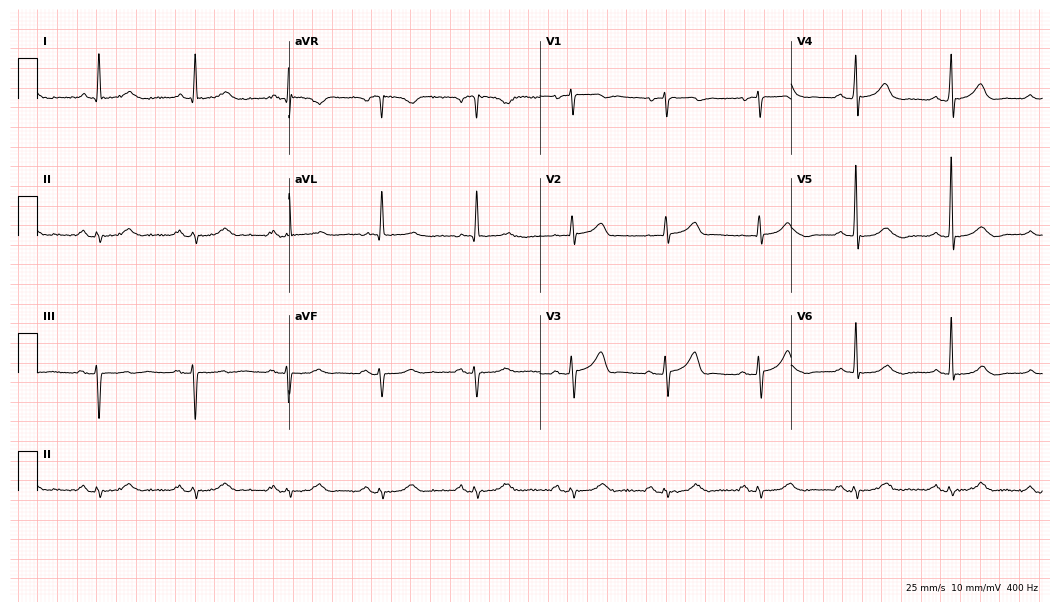
Resting 12-lead electrocardiogram (10.2-second recording at 400 Hz). Patient: a 72-year-old male. None of these six findings is recorded: first-degree AV block, right bundle branch block, left bundle branch block, sinus bradycardia, atrial fibrillation, sinus tachycardia. Other findings, if any, are not listed.